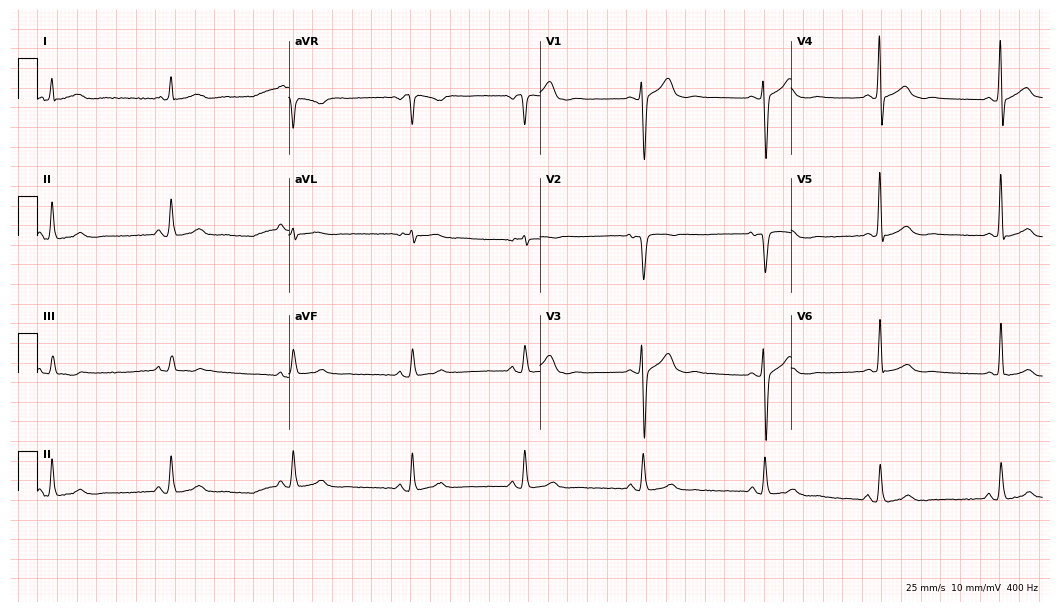
Resting 12-lead electrocardiogram. Patient: a 57-year-old man. None of these six findings is recorded: first-degree AV block, right bundle branch block, left bundle branch block, sinus bradycardia, atrial fibrillation, sinus tachycardia. Findings outside these six are not listed.